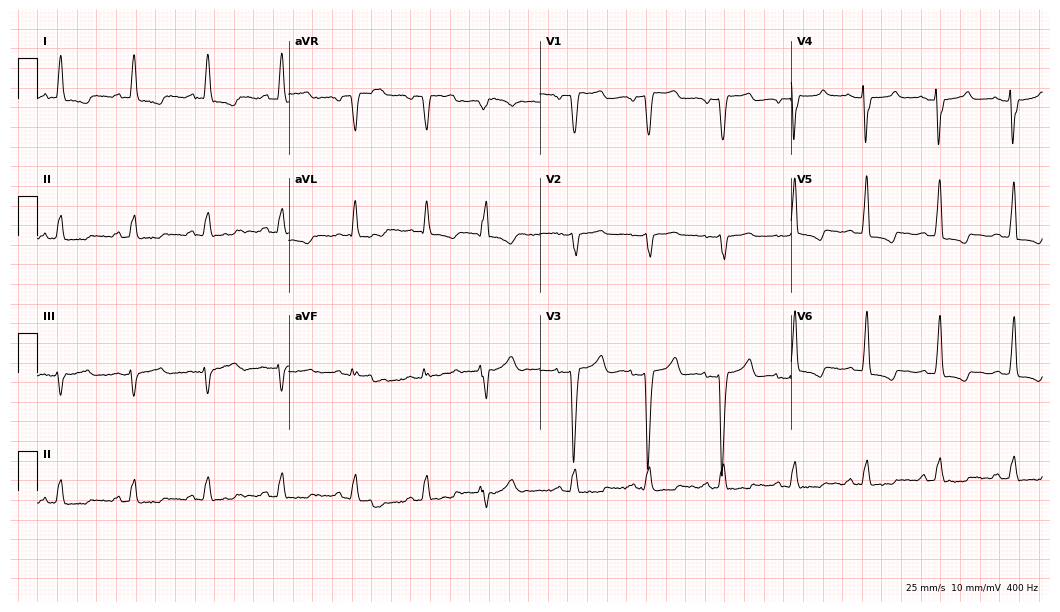
12-lead ECG from a female patient, 48 years old. Screened for six findings — first-degree AV block, right bundle branch block, left bundle branch block, sinus bradycardia, atrial fibrillation, sinus tachycardia — none is recorded. Other findings, if any, are not listed.